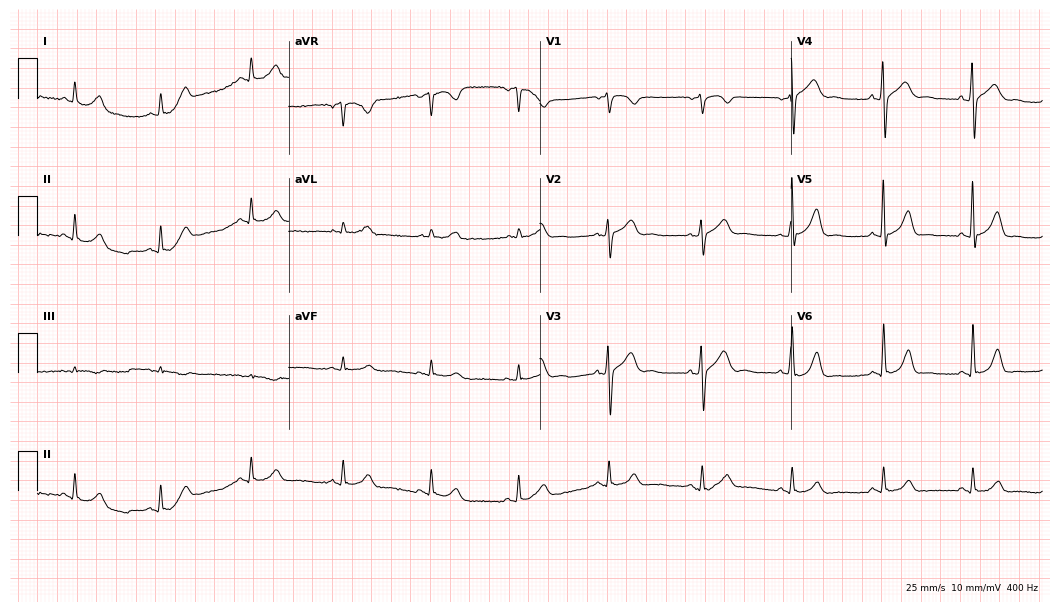
ECG (10.2-second recording at 400 Hz) — a man, 52 years old. Screened for six findings — first-degree AV block, right bundle branch block, left bundle branch block, sinus bradycardia, atrial fibrillation, sinus tachycardia — none is recorded. Findings outside these six are not listed.